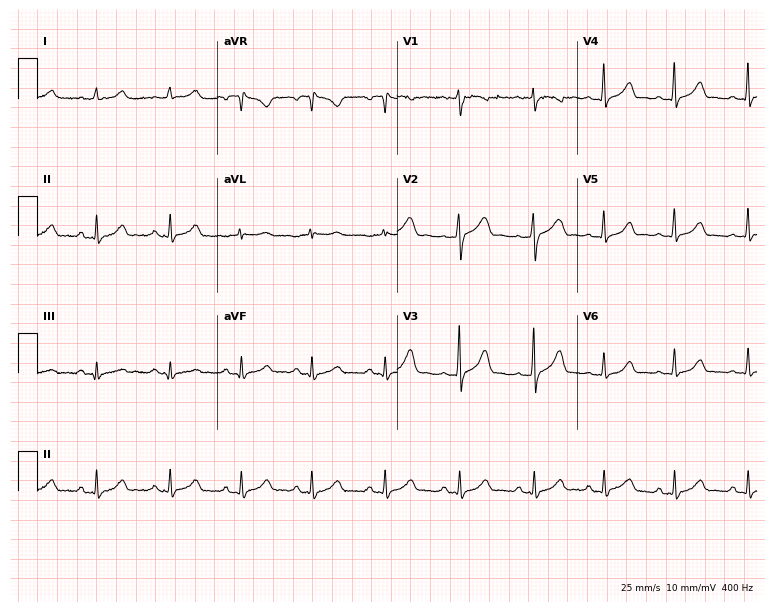
ECG (7.3-second recording at 400 Hz) — a woman, 25 years old. Labelled as a normal ECG.